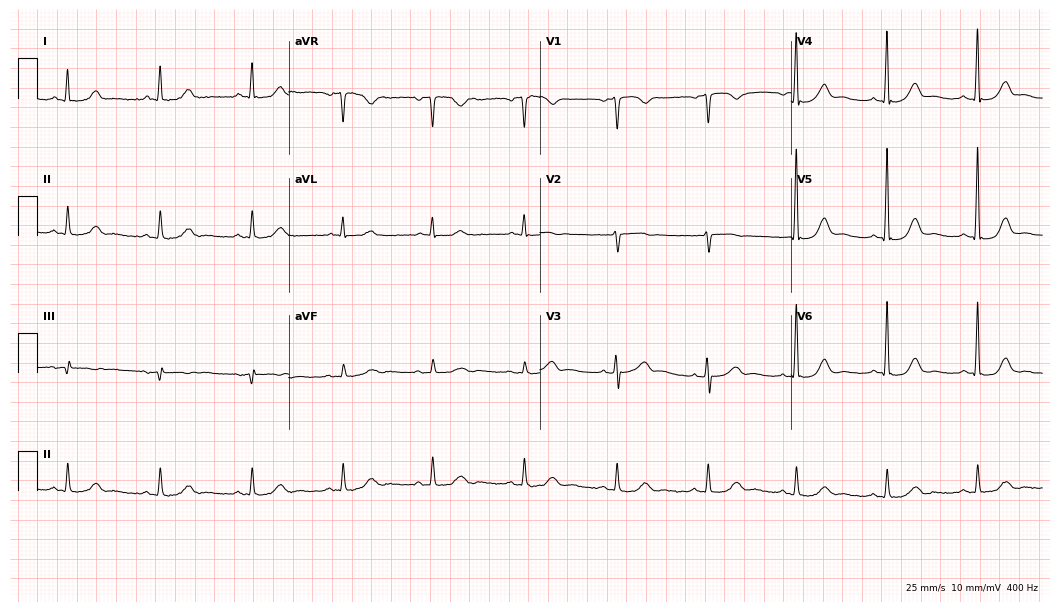
12-lead ECG (10.2-second recording at 400 Hz) from a 76-year-old man. Labelled as a normal ECG.